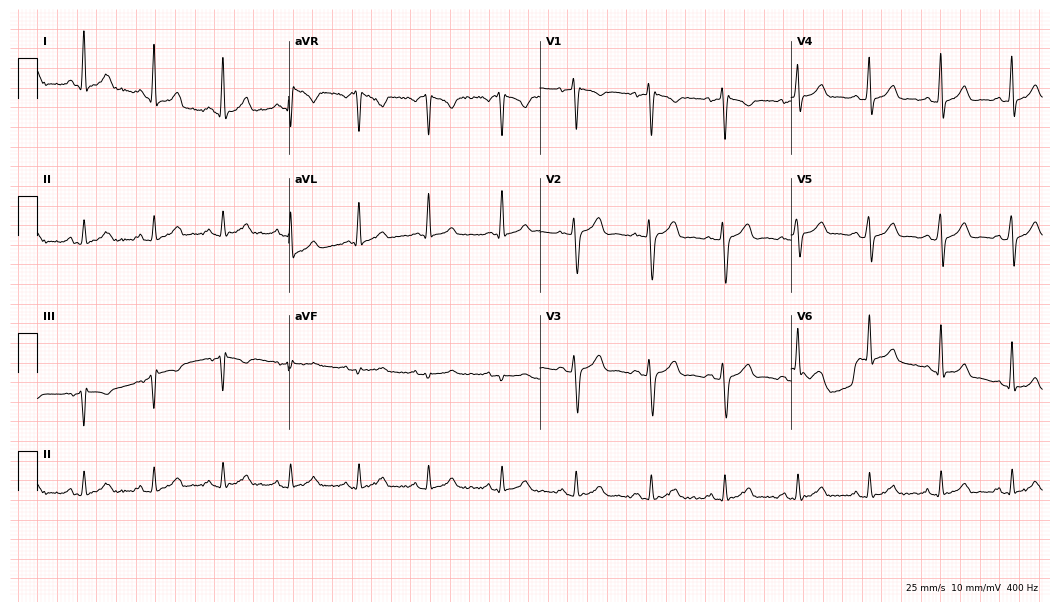
Standard 12-lead ECG recorded from a 34-year-old woman (10.2-second recording at 400 Hz). Read as a normal ECG.